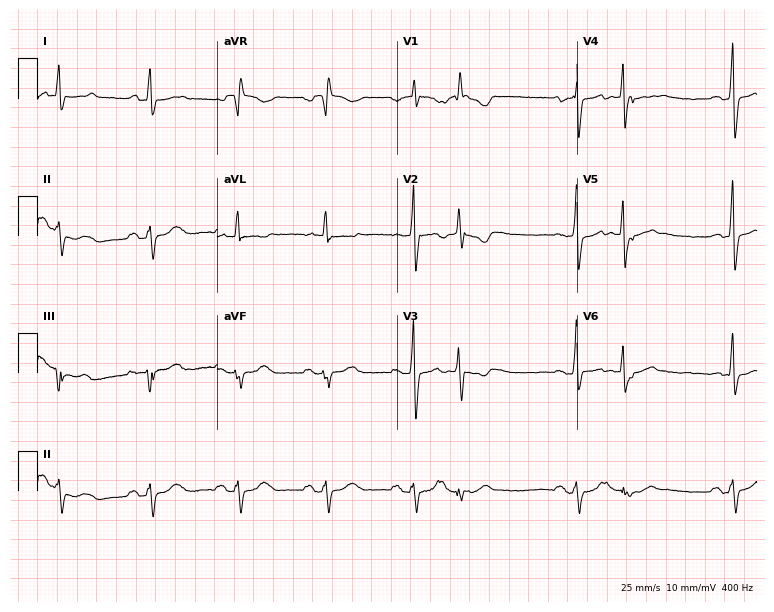
Resting 12-lead electrocardiogram (7.3-second recording at 400 Hz). Patient: an 83-year-old woman. None of these six findings is recorded: first-degree AV block, right bundle branch block, left bundle branch block, sinus bradycardia, atrial fibrillation, sinus tachycardia. Only these six findings were labelled.